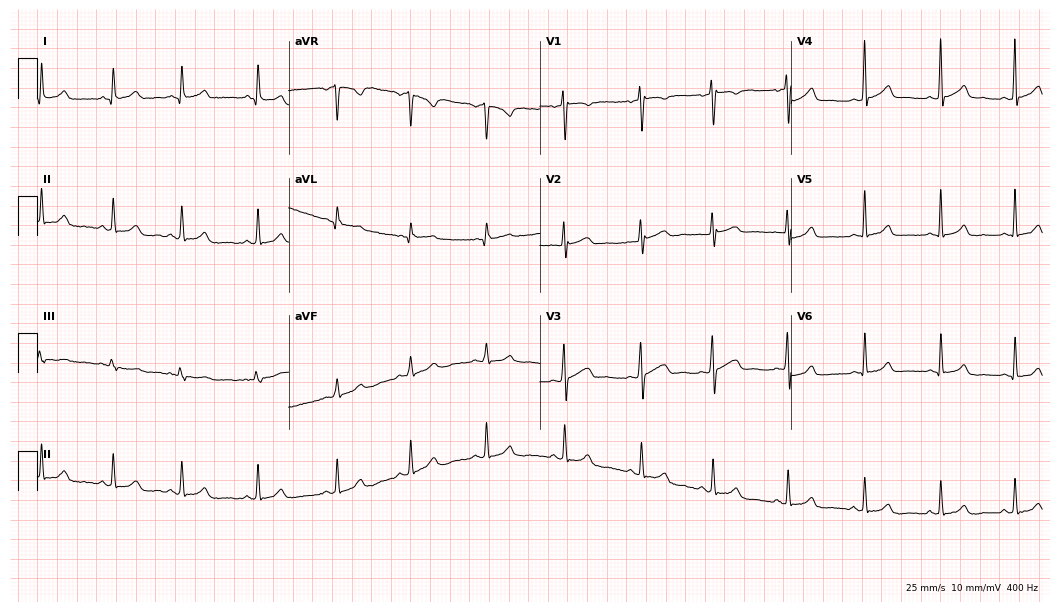
12-lead ECG from a female, 33 years old (10.2-second recording at 400 Hz). Recorded interpretation: within normal limits.